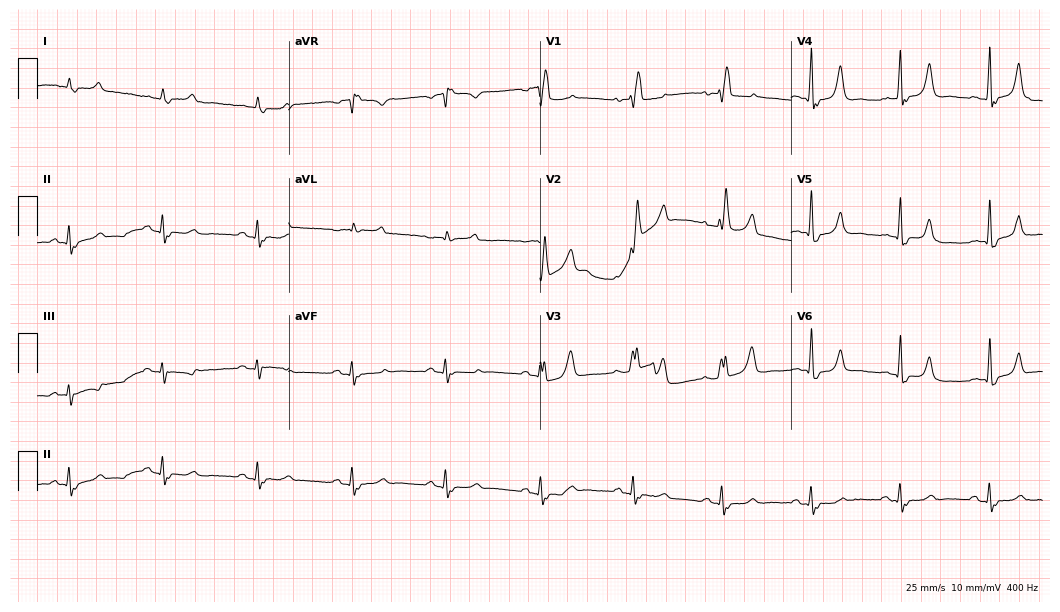
Electrocardiogram (10.2-second recording at 400 Hz), a male, 66 years old. Interpretation includes right bundle branch block (RBBB).